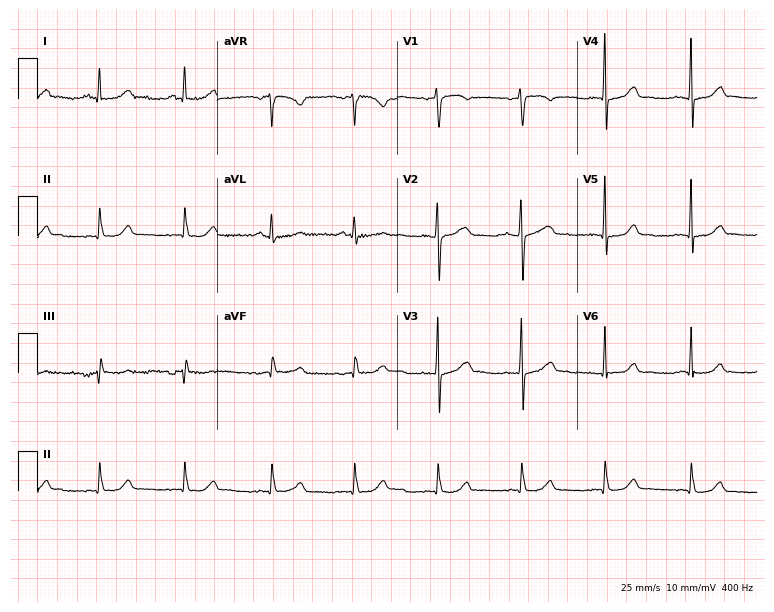
12-lead ECG from a woman, 49 years old (7.3-second recording at 400 Hz). Recorded interpretation: within normal limits.